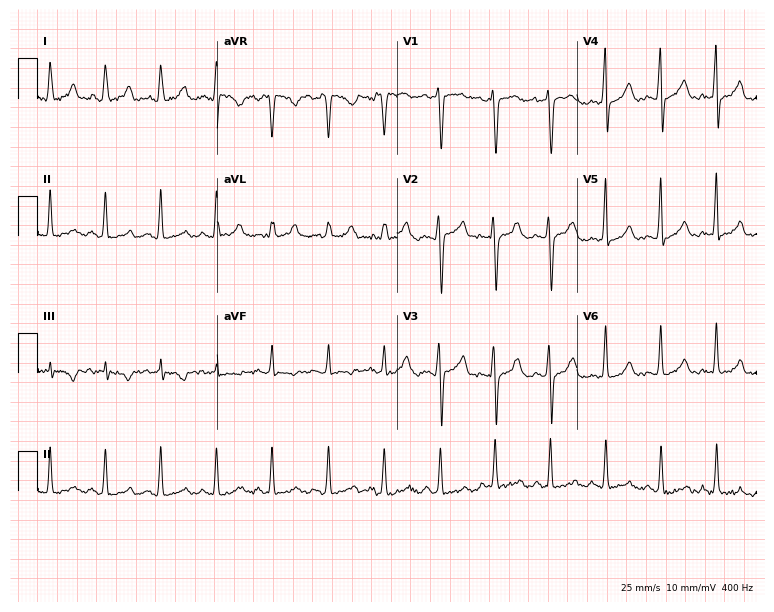
12-lead ECG from a woman, 27 years old. Screened for six findings — first-degree AV block, right bundle branch block, left bundle branch block, sinus bradycardia, atrial fibrillation, sinus tachycardia — none is recorded. Findings outside these six are not listed.